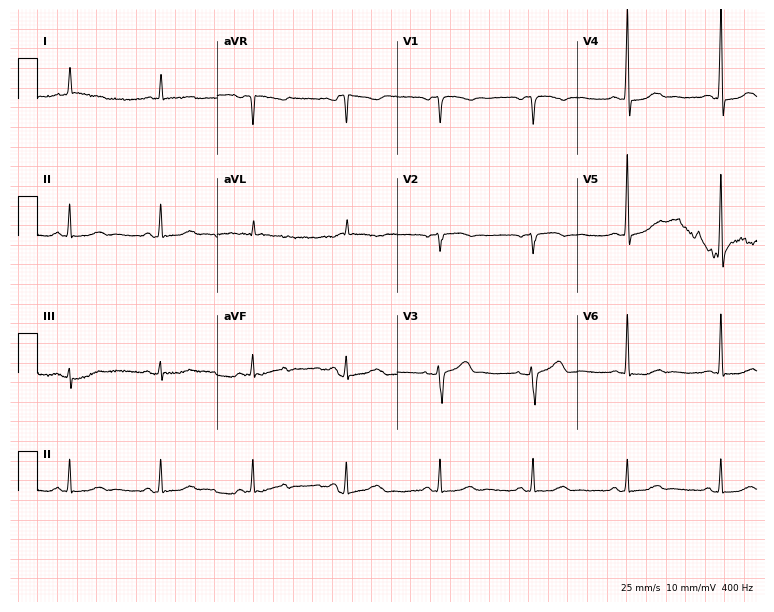
12-lead ECG from a 69-year-old male patient (7.3-second recording at 400 Hz). No first-degree AV block, right bundle branch block, left bundle branch block, sinus bradycardia, atrial fibrillation or sinus tachycardia recorded for this tracing.